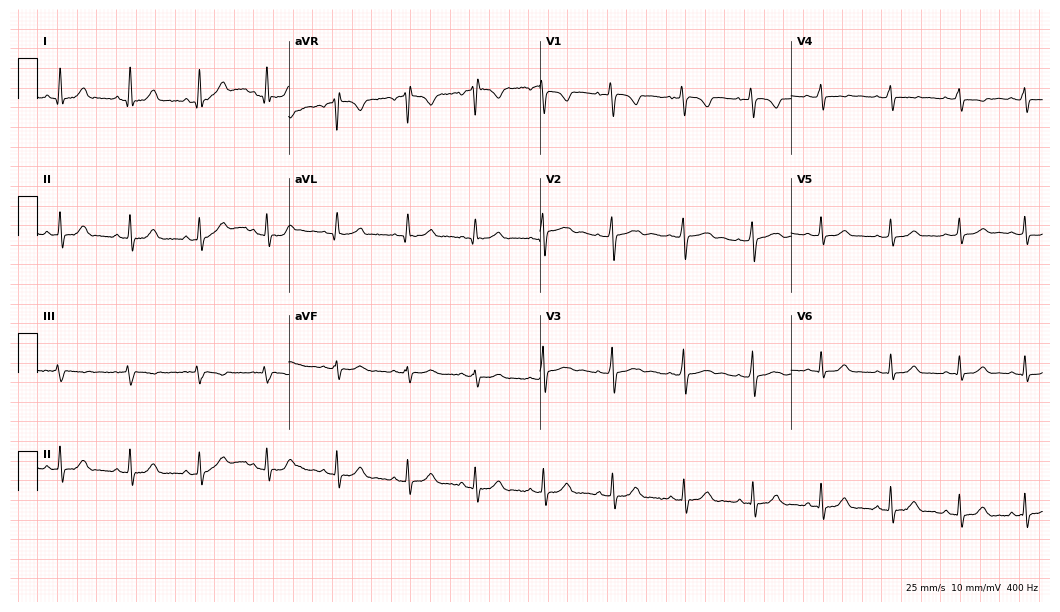
Electrocardiogram (10.2-second recording at 400 Hz), a female patient, 20 years old. Overall reading on record: normal ECG.